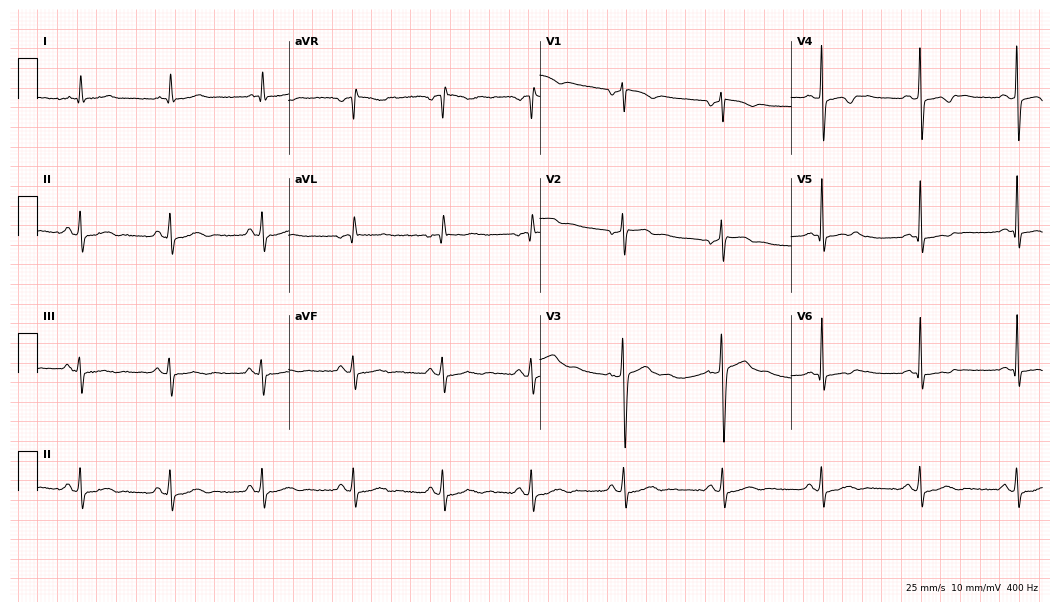
12-lead ECG from a man, 45 years old. No first-degree AV block, right bundle branch block (RBBB), left bundle branch block (LBBB), sinus bradycardia, atrial fibrillation (AF) or sinus tachycardia recorded for this tracing. Findings outside these six are not listed.